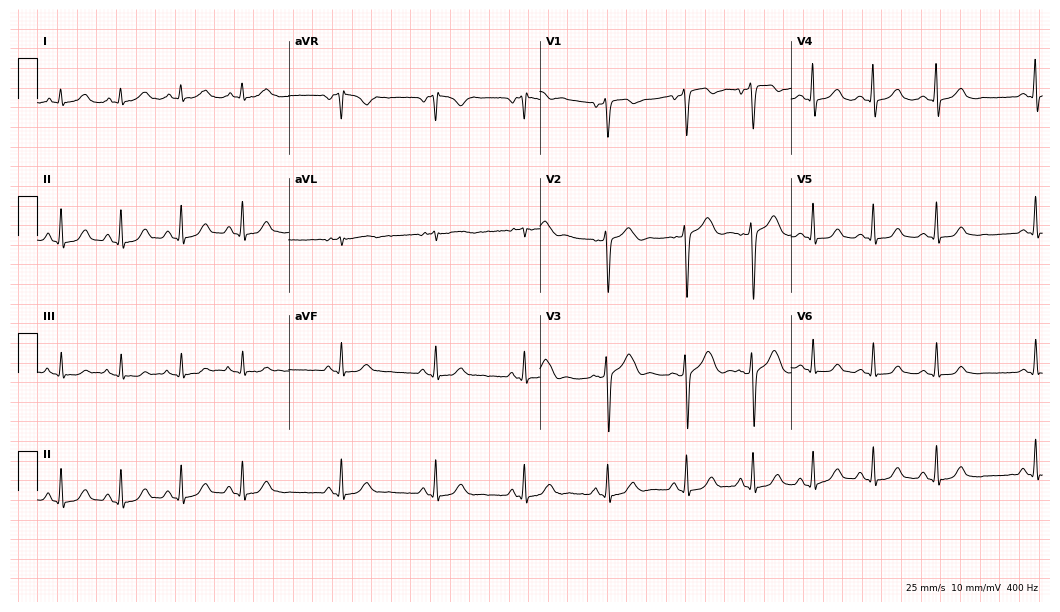
12-lead ECG (10.2-second recording at 400 Hz) from a 44-year-old male. Screened for six findings — first-degree AV block, right bundle branch block (RBBB), left bundle branch block (LBBB), sinus bradycardia, atrial fibrillation (AF), sinus tachycardia — none is recorded. Findings outside these six are not listed.